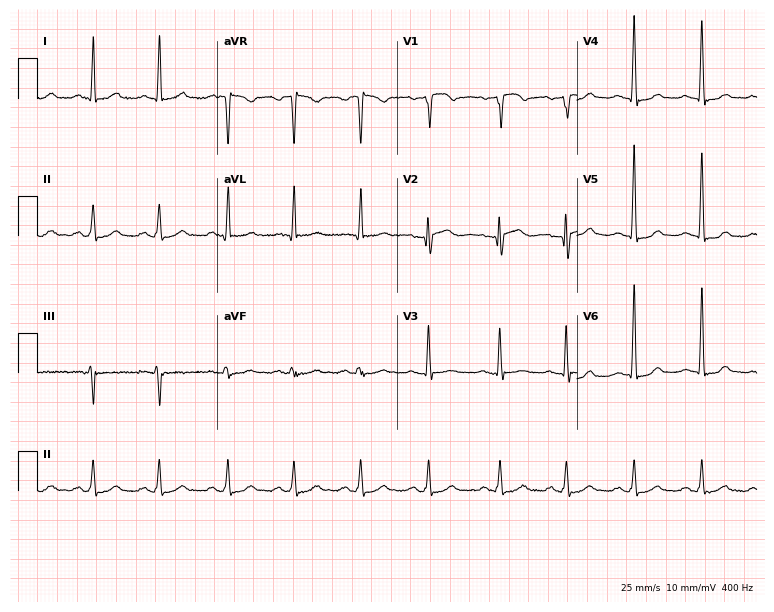
12-lead ECG from a female patient, 72 years old (7.3-second recording at 400 Hz). No first-degree AV block, right bundle branch block, left bundle branch block, sinus bradycardia, atrial fibrillation or sinus tachycardia recorded for this tracing. Findings outside these six are not listed.